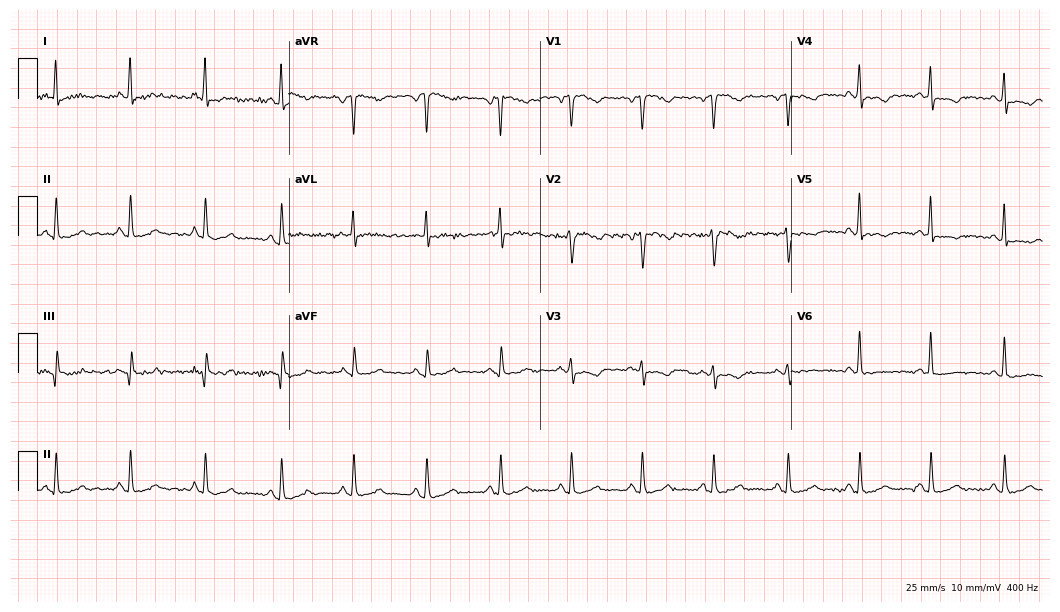
Electrocardiogram, a female patient, 47 years old. Of the six screened findings (first-degree AV block, right bundle branch block, left bundle branch block, sinus bradycardia, atrial fibrillation, sinus tachycardia), none is recorded.